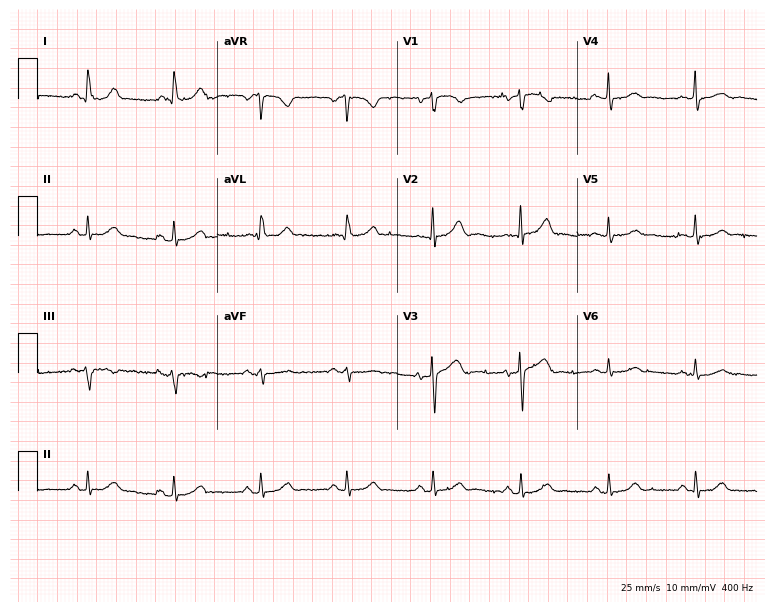
12-lead ECG from a 61-year-old female patient. Labelled as a normal ECG.